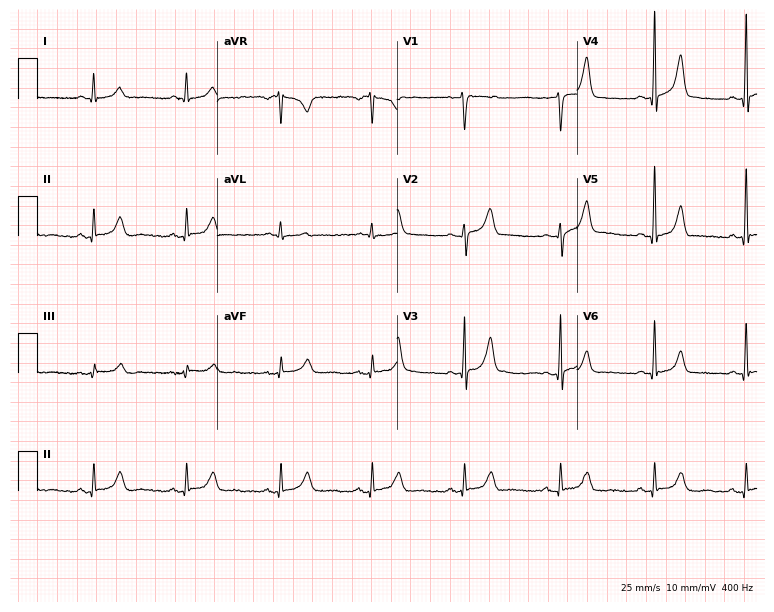
12-lead ECG from a woman, 31 years old. Labelled as a normal ECG.